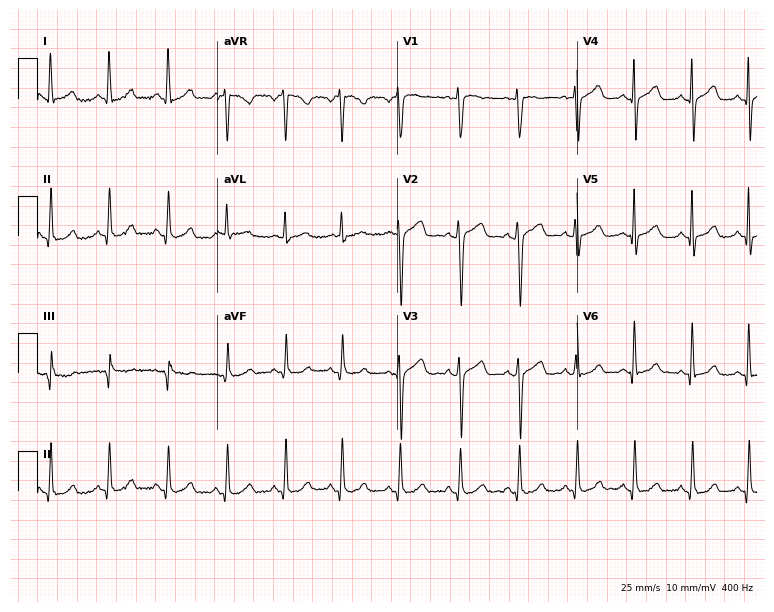
Standard 12-lead ECG recorded from a female, 27 years old (7.3-second recording at 400 Hz). The tracing shows sinus tachycardia (a sinus rate of 100 beats per minute or more).